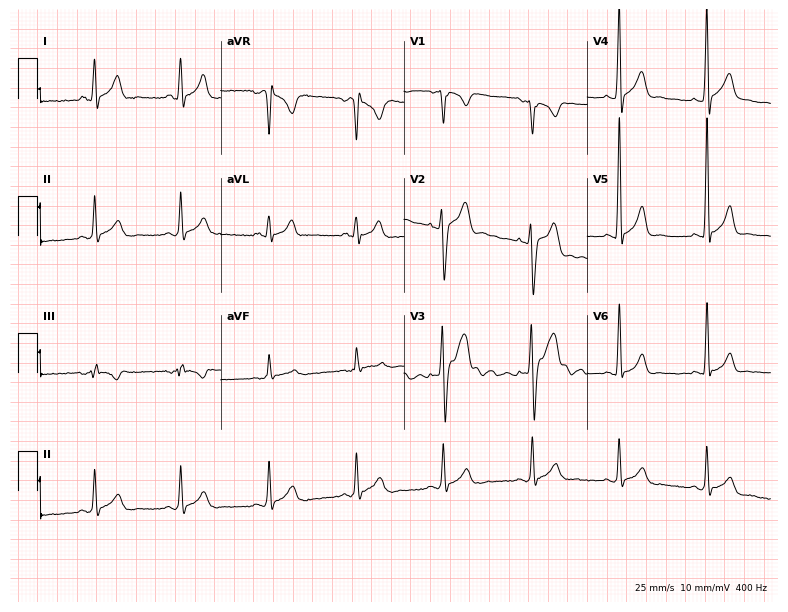
Standard 12-lead ECG recorded from a 30-year-old man (7.5-second recording at 400 Hz). Read as a normal ECG.